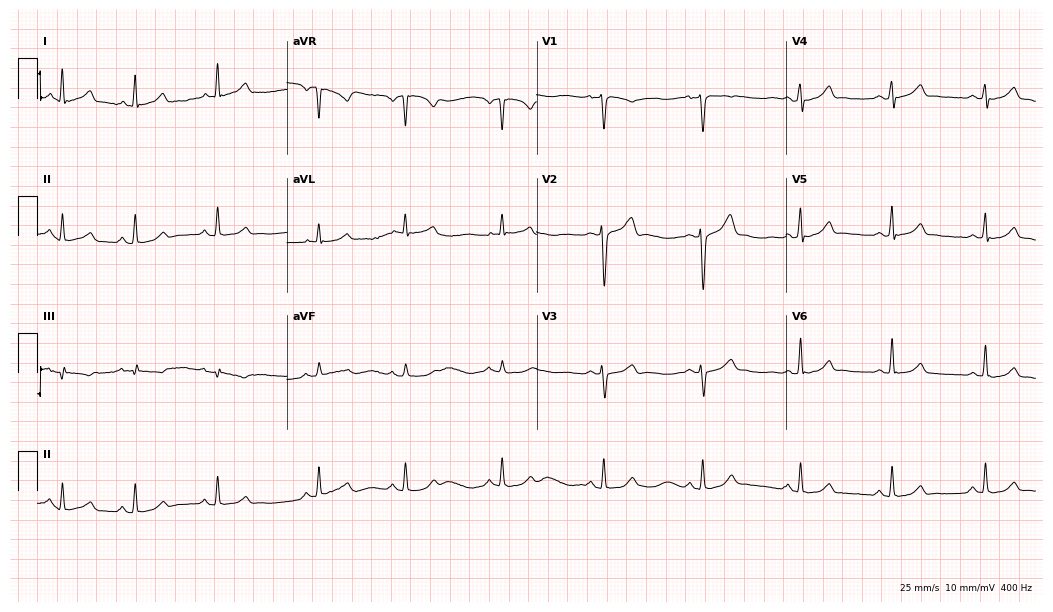
Standard 12-lead ECG recorded from a 33-year-old male (10.2-second recording at 400 Hz). Read as a normal ECG.